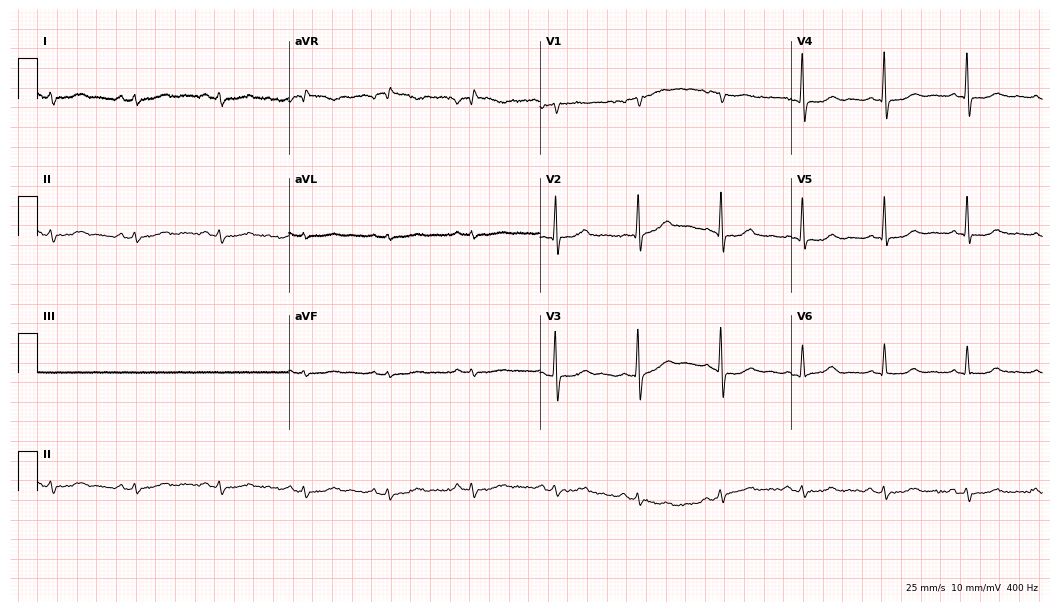
ECG (10.2-second recording at 400 Hz) — a 77-year-old woman. Screened for six findings — first-degree AV block, right bundle branch block, left bundle branch block, sinus bradycardia, atrial fibrillation, sinus tachycardia — none is recorded.